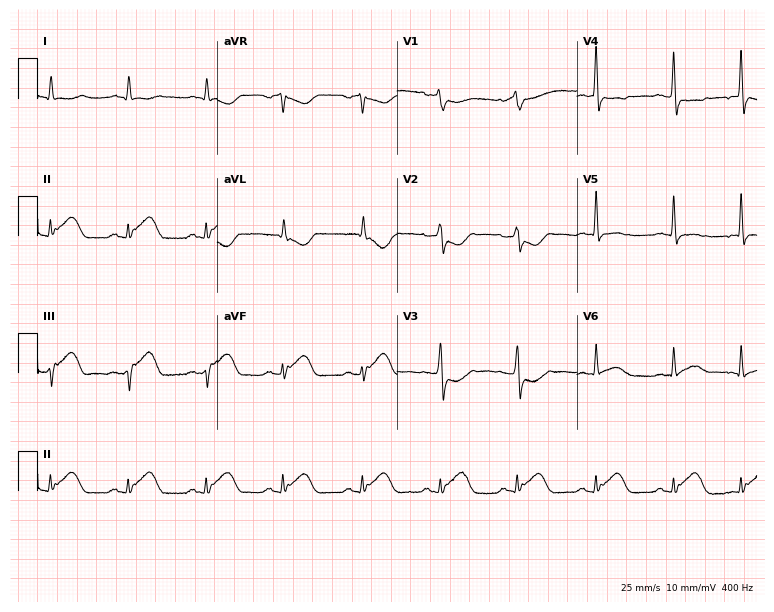
12-lead ECG from a male, 75 years old. No first-degree AV block, right bundle branch block, left bundle branch block, sinus bradycardia, atrial fibrillation or sinus tachycardia recorded for this tracing.